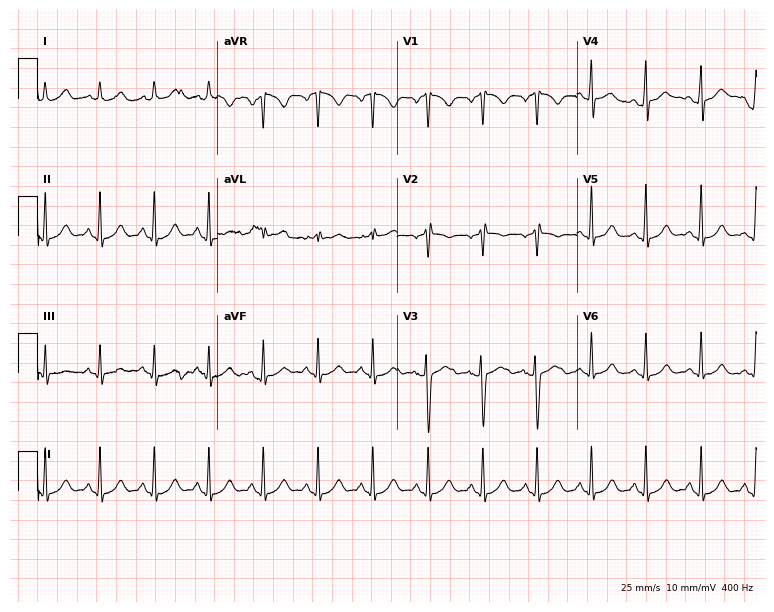
Electrocardiogram, a woman, 35 years old. Interpretation includes sinus tachycardia (a sinus rate of 100 beats per minute or more).